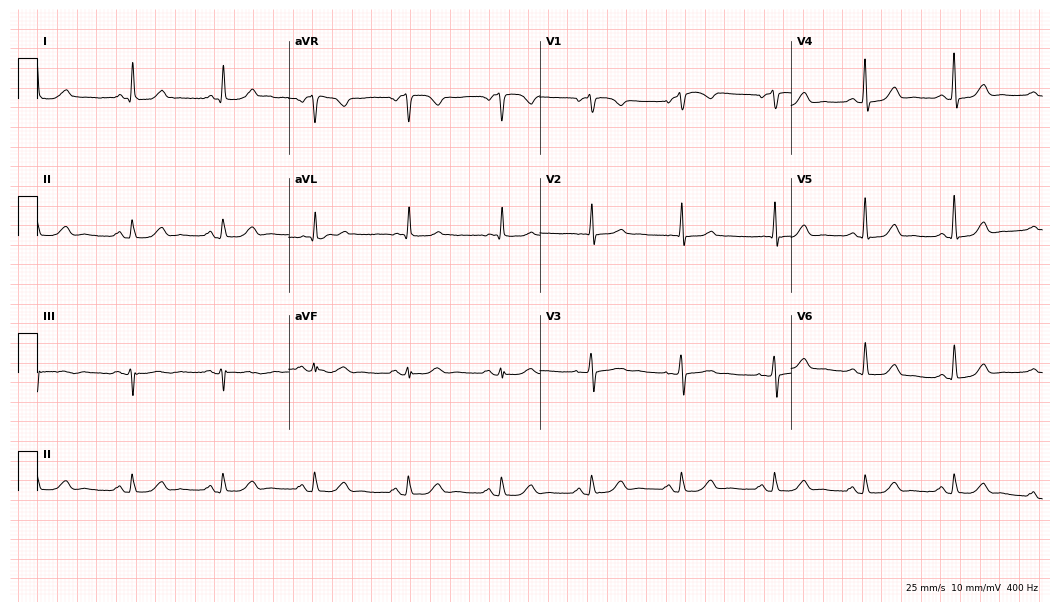
12-lead ECG from a female, 81 years old. Recorded interpretation: within normal limits.